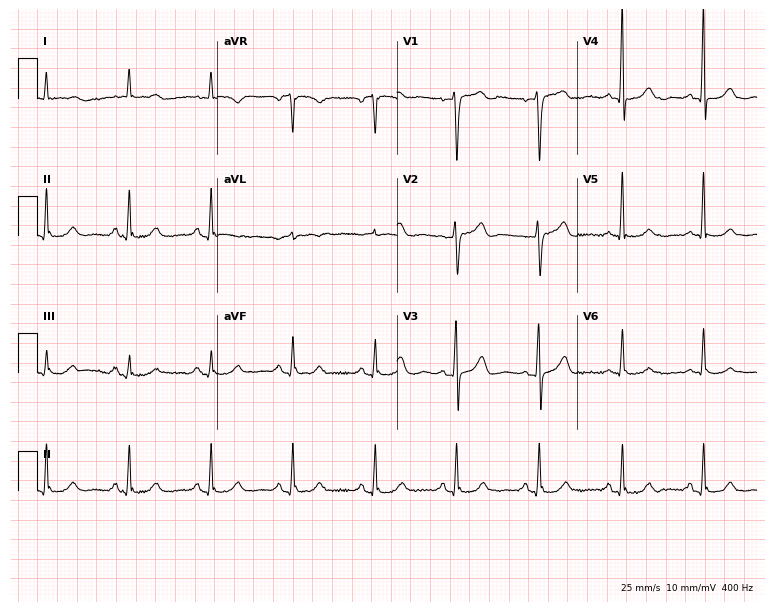
12-lead ECG from a male patient, 70 years old (7.3-second recording at 400 Hz). No first-degree AV block, right bundle branch block, left bundle branch block, sinus bradycardia, atrial fibrillation or sinus tachycardia recorded for this tracing. Only these six findings were labelled.